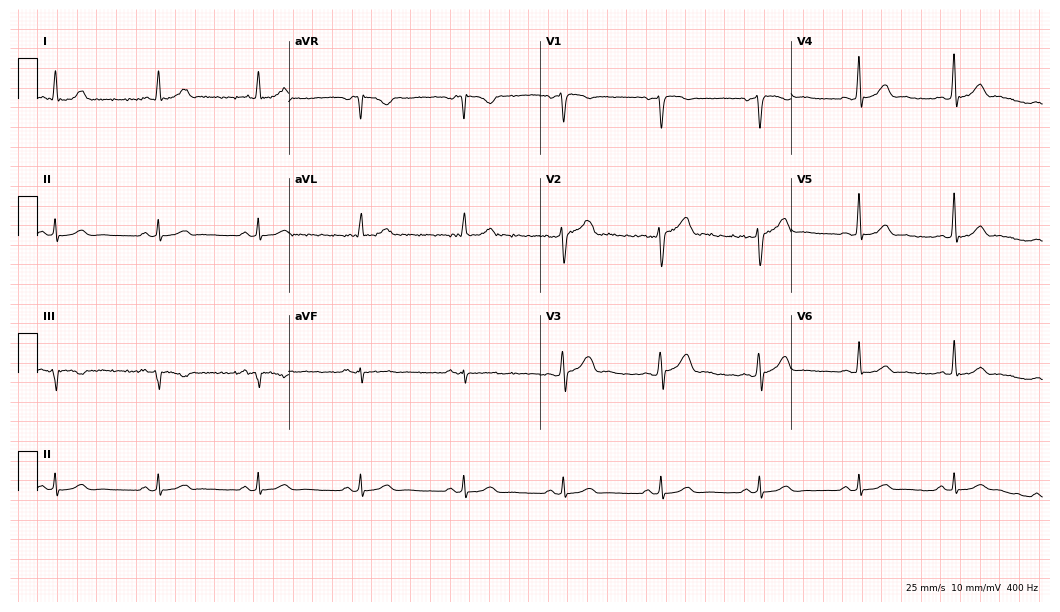
Resting 12-lead electrocardiogram (10.2-second recording at 400 Hz). Patient: a 39-year-old female. None of these six findings is recorded: first-degree AV block, right bundle branch block, left bundle branch block, sinus bradycardia, atrial fibrillation, sinus tachycardia.